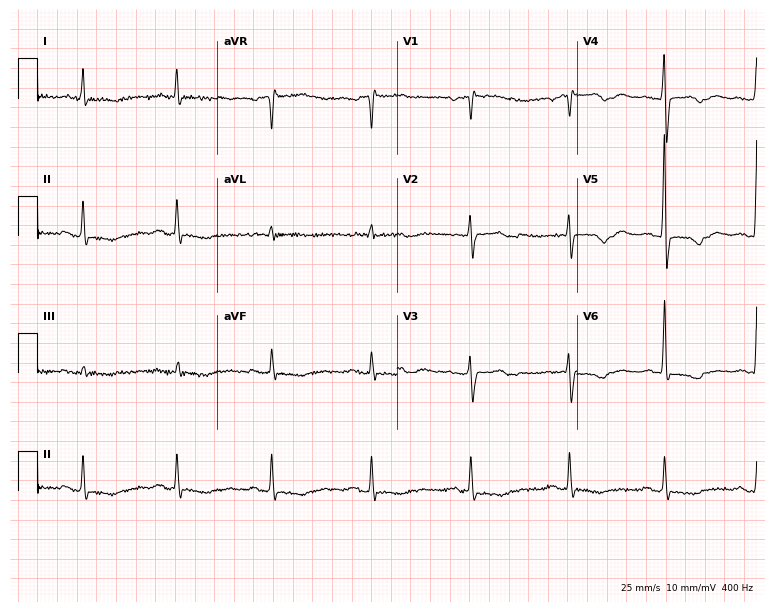
Standard 12-lead ECG recorded from a female, 74 years old. None of these six findings is recorded: first-degree AV block, right bundle branch block (RBBB), left bundle branch block (LBBB), sinus bradycardia, atrial fibrillation (AF), sinus tachycardia.